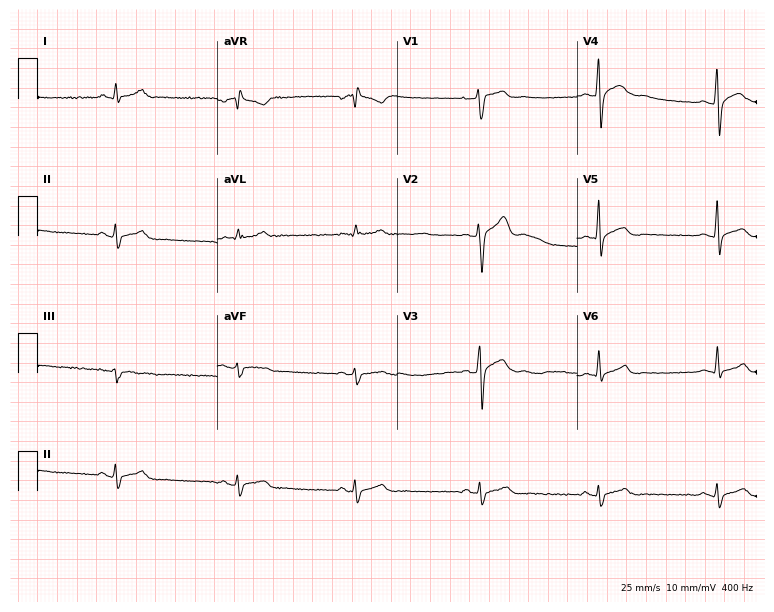
12-lead ECG (7.3-second recording at 400 Hz) from a 36-year-old male. Screened for six findings — first-degree AV block, right bundle branch block, left bundle branch block, sinus bradycardia, atrial fibrillation, sinus tachycardia — none is recorded.